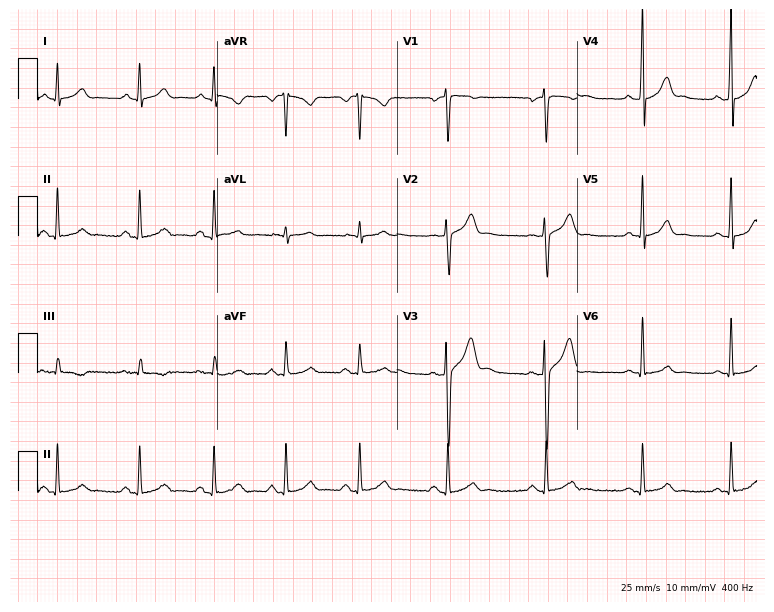
Electrocardiogram, a 28-year-old male patient. Overall reading on record: normal ECG.